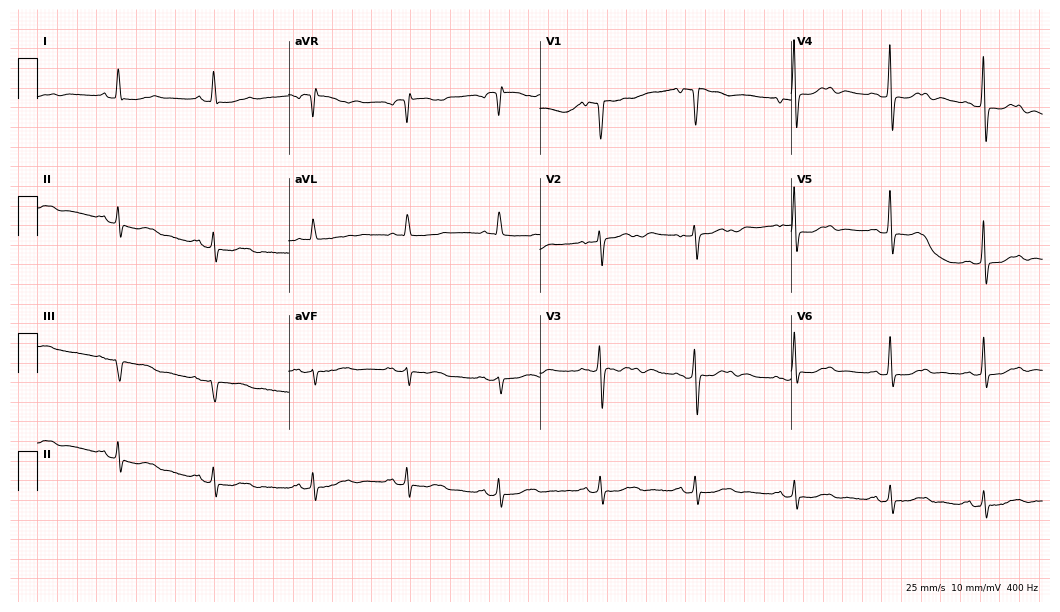
Standard 12-lead ECG recorded from an 83-year-old female patient. None of these six findings is recorded: first-degree AV block, right bundle branch block, left bundle branch block, sinus bradycardia, atrial fibrillation, sinus tachycardia. Other findings, if any, are not listed.